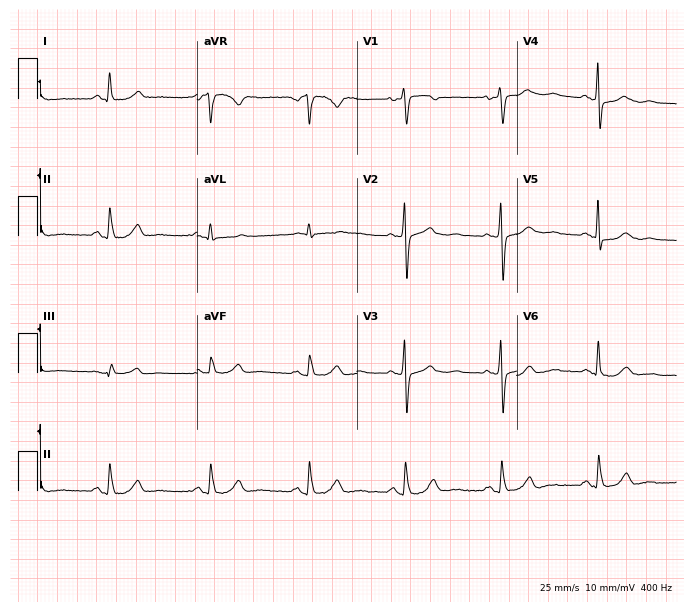
Standard 12-lead ECG recorded from a 55-year-old woman. Read as a normal ECG.